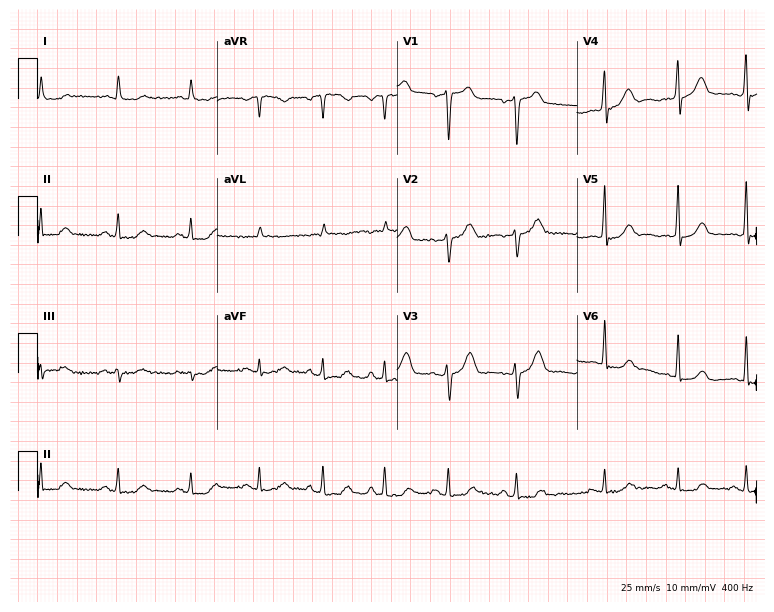
ECG (7.3-second recording at 400 Hz) — a 51-year-old female. Screened for six findings — first-degree AV block, right bundle branch block, left bundle branch block, sinus bradycardia, atrial fibrillation, sinus tachycardia — none is recorded. Findings outside these six are not listed.